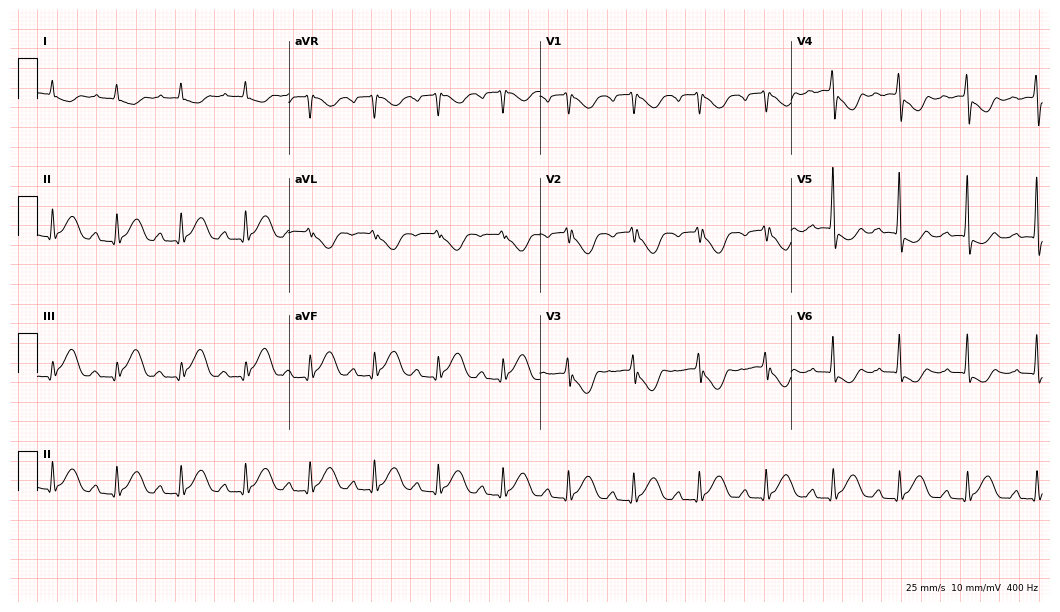
12-lead ECG (10.2-second recording at 400 Hz) from a 66-year-old male patient. Screened for six findings — first-degree AV block, right bundle branch block, left bundle branch block, sinus bradycardia, atrial fibrillation, sinus tachycardia — none is recorded.